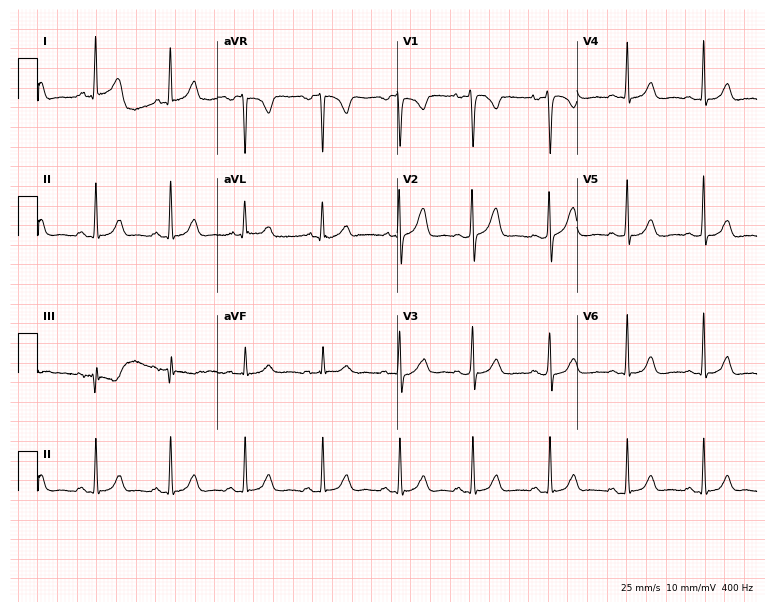
Electrocardiogram (7.3-second recording at 400 Hz), a 21-year-old female. Of the six screened findings (first-degree AV block, right bundle branch block, left bundle branch block, sinus bradycardia, atrial fibrillation, sinus tachycardia), none is recorded. Findings outside these six are not listed.